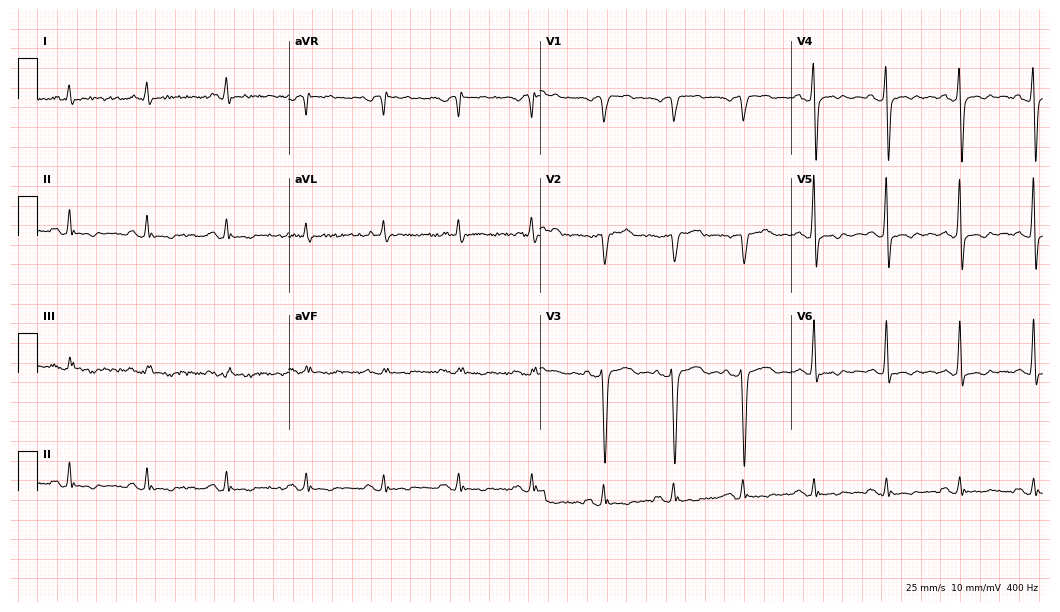
12-lead ECG (10.2-second recording at 400 Hz) from a male patient, 50 years old. Labelled as a normal ECG.